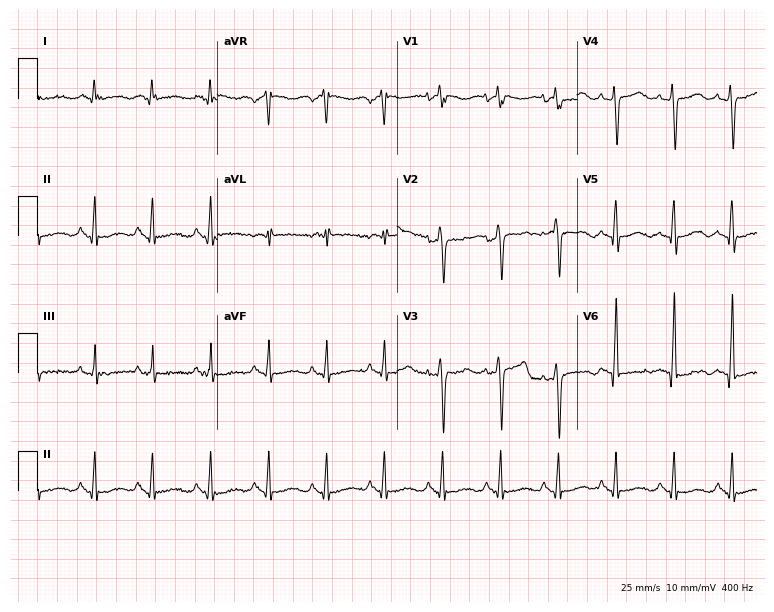
12-lead ECG from a female patient, 64 years old. No first-degree AV block, right bundle branch block, left bundle branch block, sinus bradycardia, atrial fibrillation or sinus tachycardia recorded for this tracing. Only these six findings were labelled.